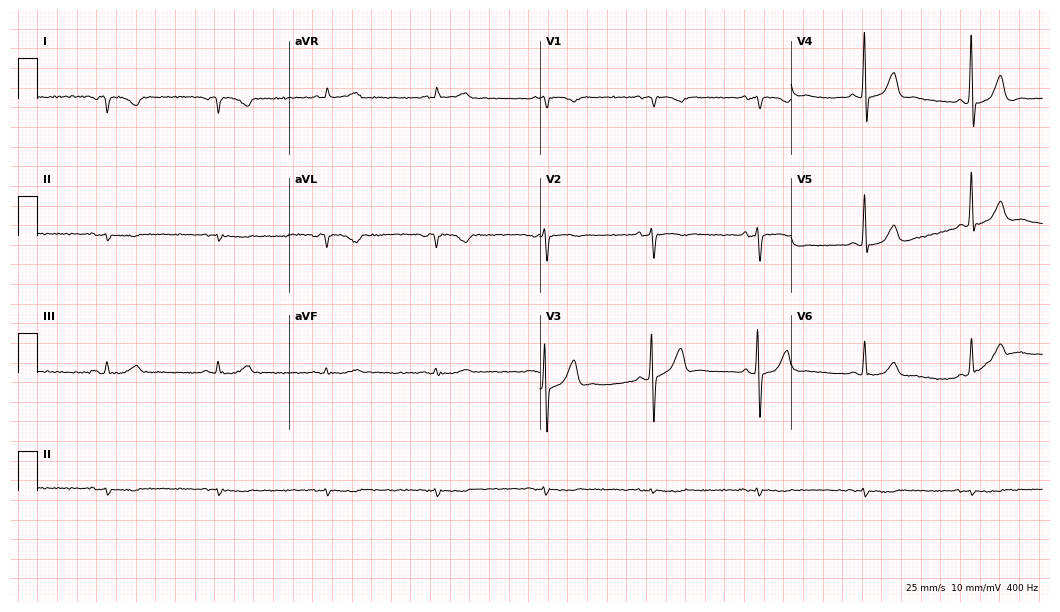
Electrocardiogram (10.2-second recording at 400 Hz), a 70-year-old male patient. Overall reading on record: normal ECG.